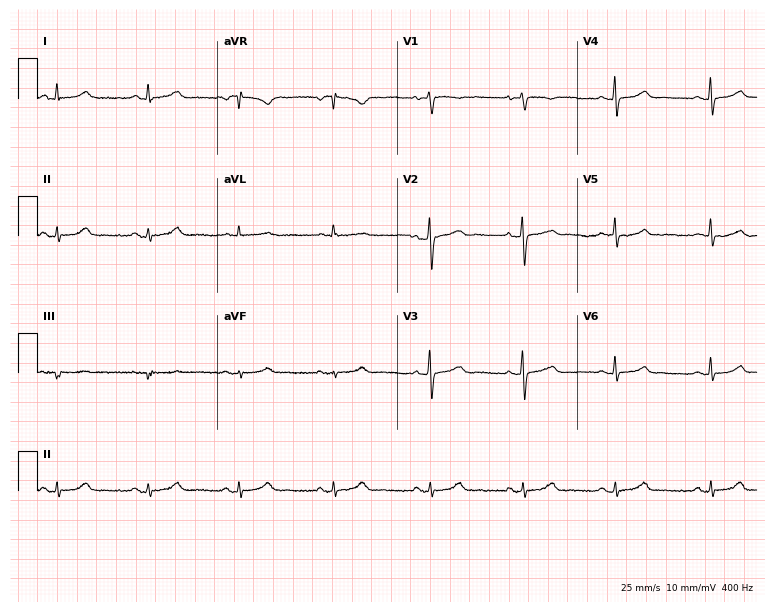
ECG — a 50-year-old female. Labelled as a normal ECG.